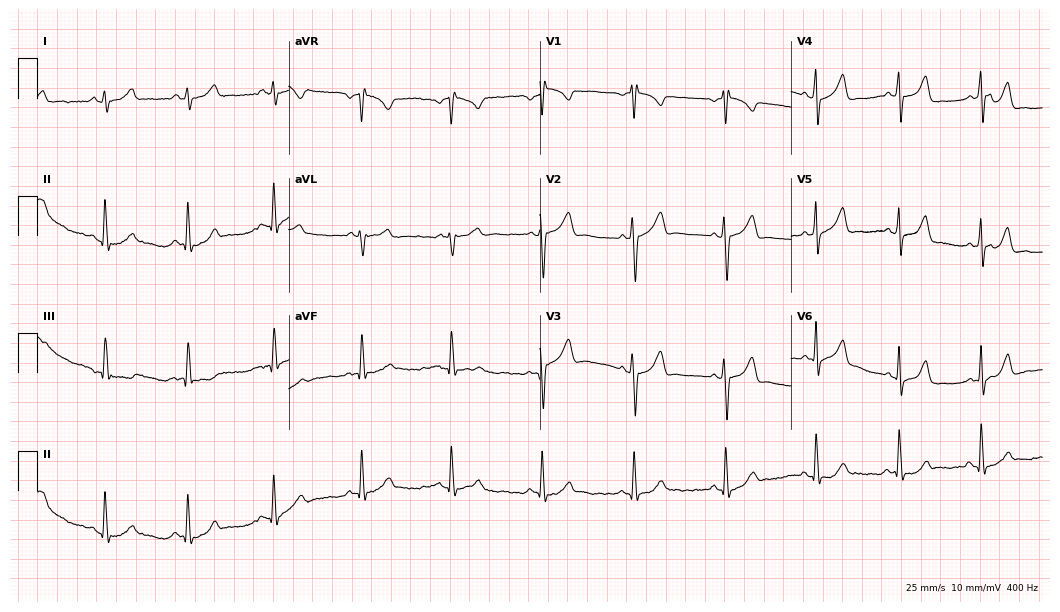
12-lead ECG from a woman, 21 years old. No first-degree AV block, right bundle branch block, left bundle branch block, sinus bradycardia, atrial fibrillation or sinus tachycardia recorded for this tracing. Other findings, if any, are not listed.